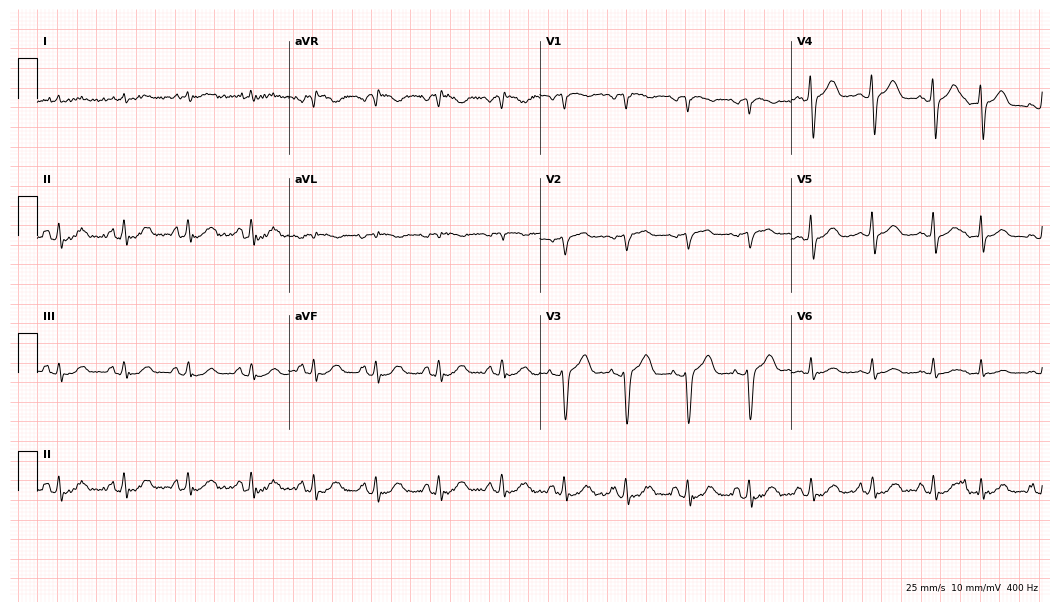
12-lead ECG from a 62-year-old man. No first-degree AV block, right bundle branch block (RBBB), left bundle branch block (LBBB), sinus bradycardia, atrial fibrillation (AF) or sinus tachycardia recorded for this tracing. Only these six findings were labelled.